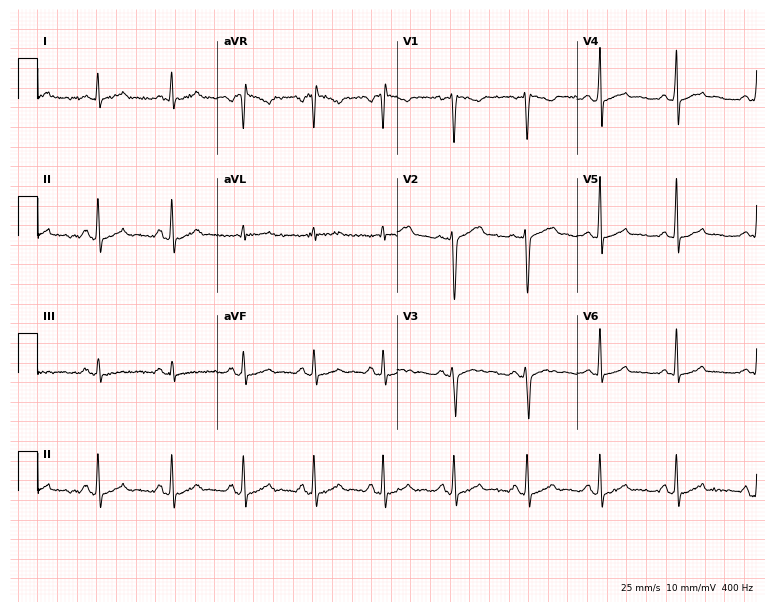
Resting 12-lead electrocardiogram (7.3-second recording at 400 Hz). Patient: a male, 33 years old. Read as a normal ECG.